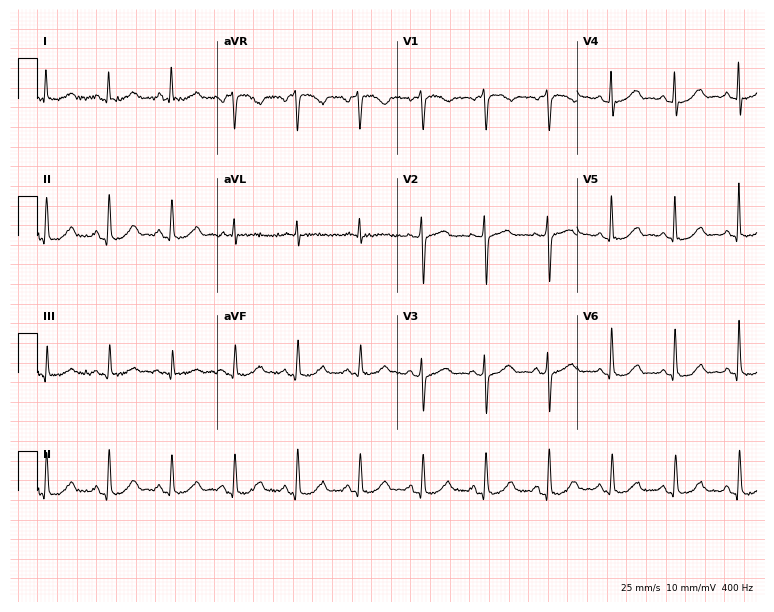
Electrocardiogram (7.3-second recording at 400 Hz), a female patient, 77 years old. Of the six screened findings (first-degree AV block, right bundle branch block, left bundle branch block, sinus bradycardia, atrial fibrillation, sinus tachycardia), none is recorded. Only these six findings were labelled.